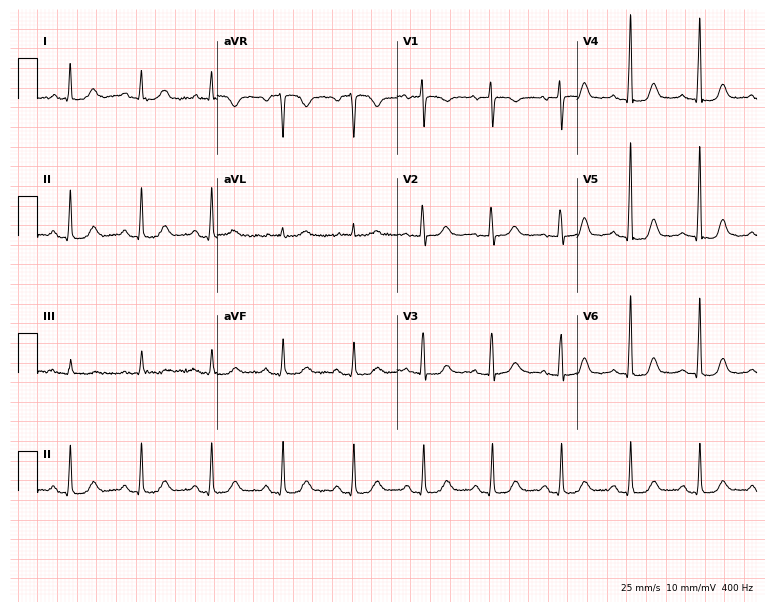
Standard 12-lead ECG recorded from a female patient, 82 years old. None of these six findings is recorded: first-degree AV block, right bundle branch block (RBBB), left bundle branch block (LBBB), sinus bradycardia, atrial fibrillation (AF), sinus tachycardia.